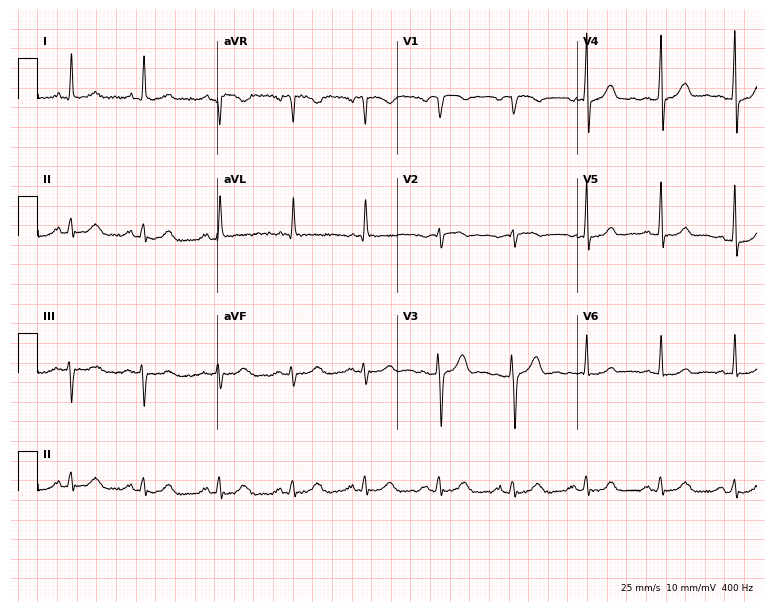
Electrocardiogram, a man, 62 years old. Overall reading on record: normal ECG.